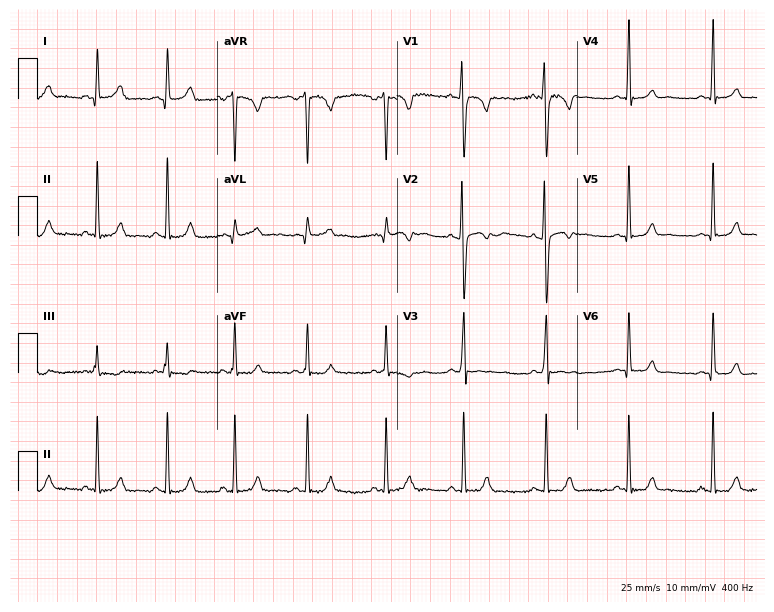
Resting 12-lead electrocardiogram (7.3-second recording at 400 Hz). Patient: a 20-year-old woman. None of these six findings is recorded: first-degree AV block, right bundle branch block, left bundle branch block, sinus bradycardia, atrial fibrillation, sinus tachycardia. Other findings, if any, are not listed.